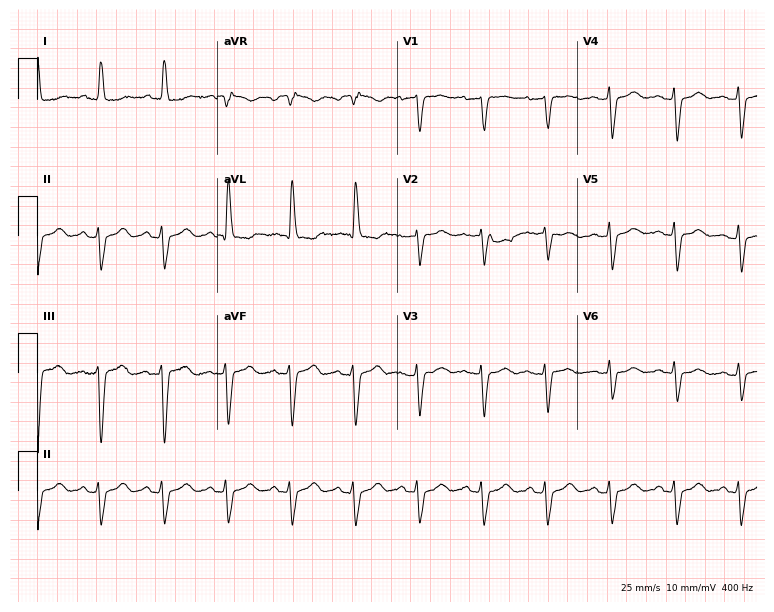
12-lead ECG from a 74-year-old woman (7.3-second recording at 400 Hz). No first-degree AV block, right bundle branch block (RBBB), left bundle branch block (LBBB), sinus bradycardia, atrial fibrillation (AF) or sinus tachycardia recorded for this tracing.